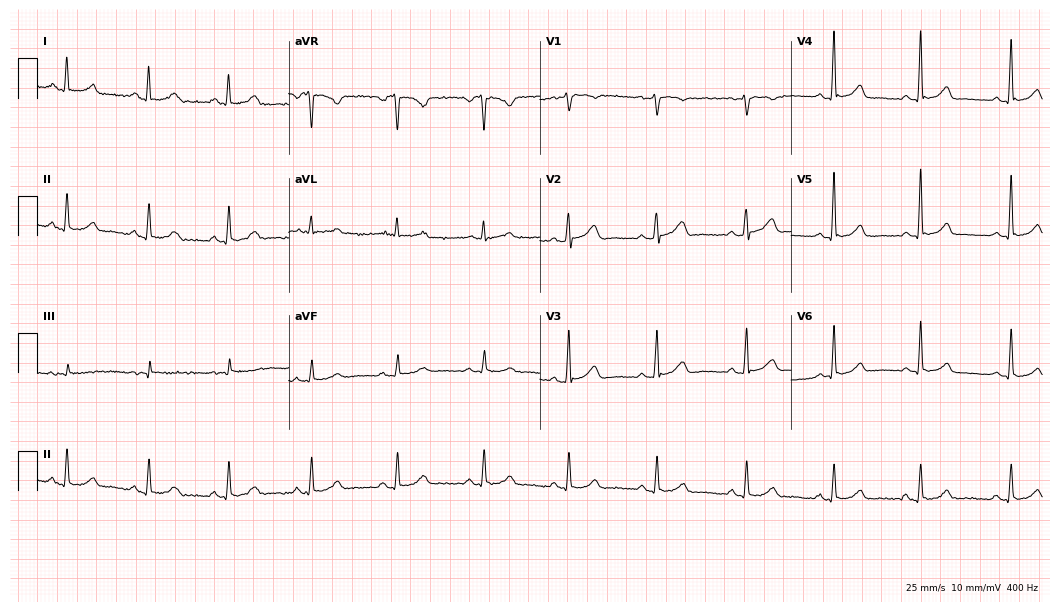
12-lead ECG from a woman, 49 years old (10.2-second recording at 400 Hz). Recorded interpretation: within normal limits.